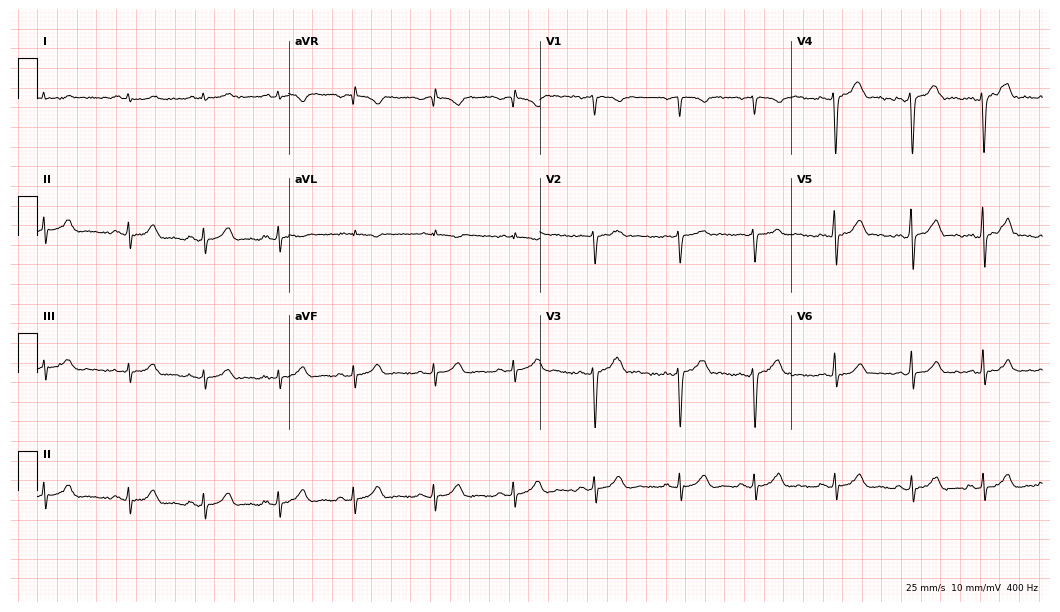
Electrocardiogram, a 20-year-old male patient. Of the six screened findings (first-degree AV block, right bundle branch block, left bundle branch block, sinus bradycardia, atrial fibrillation, sinus tachycardia), none is recorded.